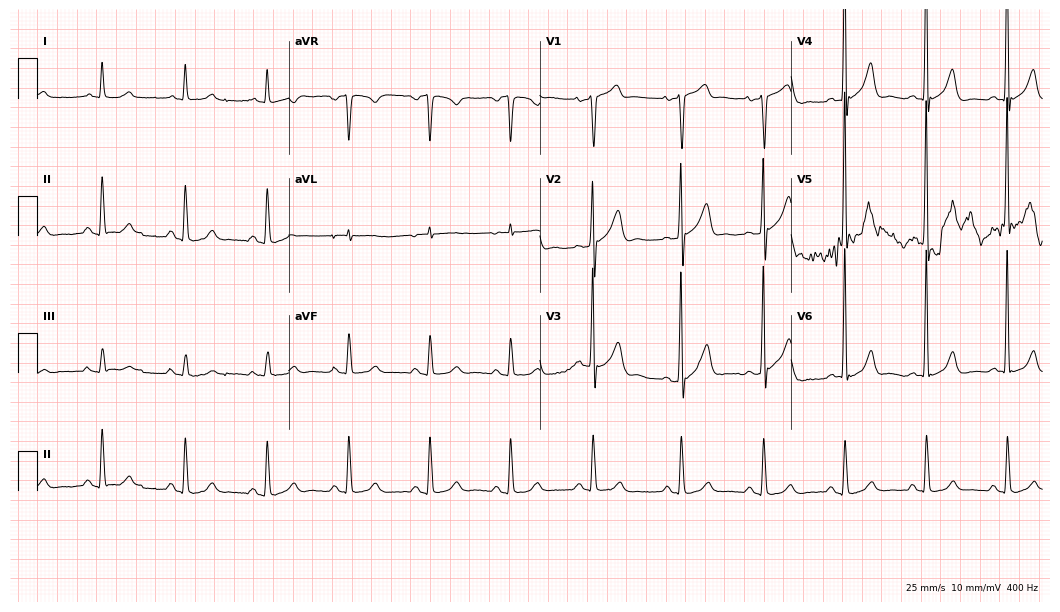
Electrocardiogram, a man, 79 years old. Of the six screened findings (first-degree AV block, right bundle branch block (RBBB), left bundle branch block (LBBB), sinus bradycardia, atrial fibrillation (AF), sinus tachycardia), none is recorded.